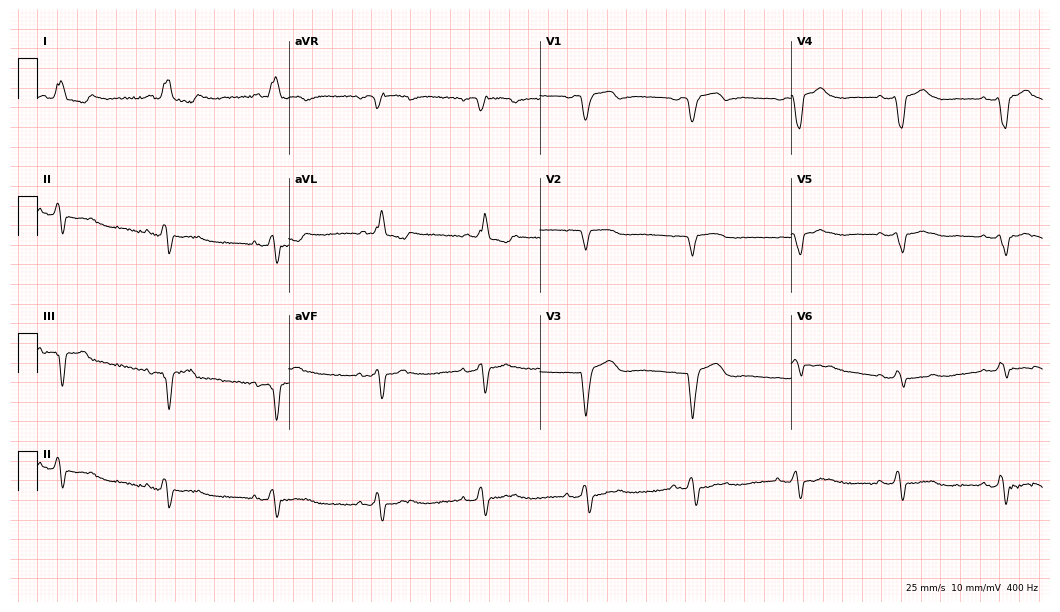
Standard 12-lead ECG recorded from a female patient, 79 years old. The tracing shows left bundle branch block.